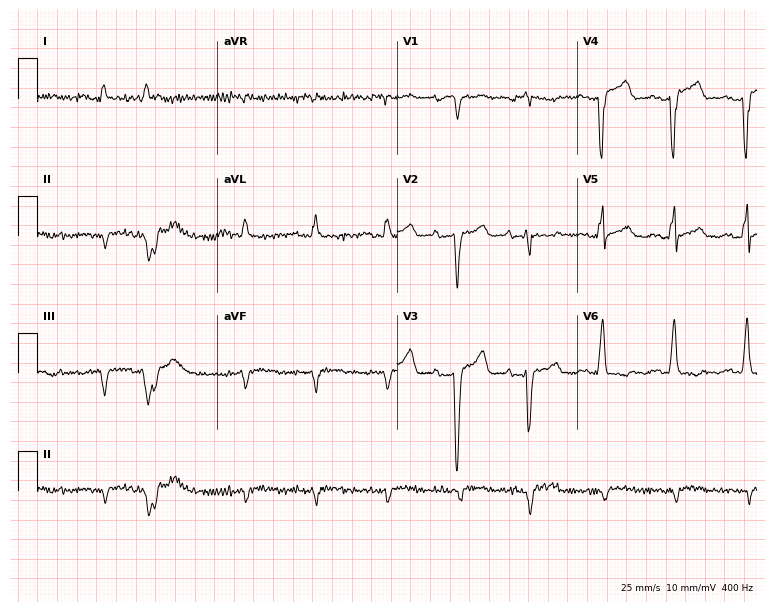
Resting 12-lead electrocardiogram. Patient: a male, 58 years old. None of these six findings is recorded: first-degree AV block, right bundle branch block, left bundle branch block, sinus bradycardia, atrial fibrillation, sinus tachycardia. Only these six findings were labelled.